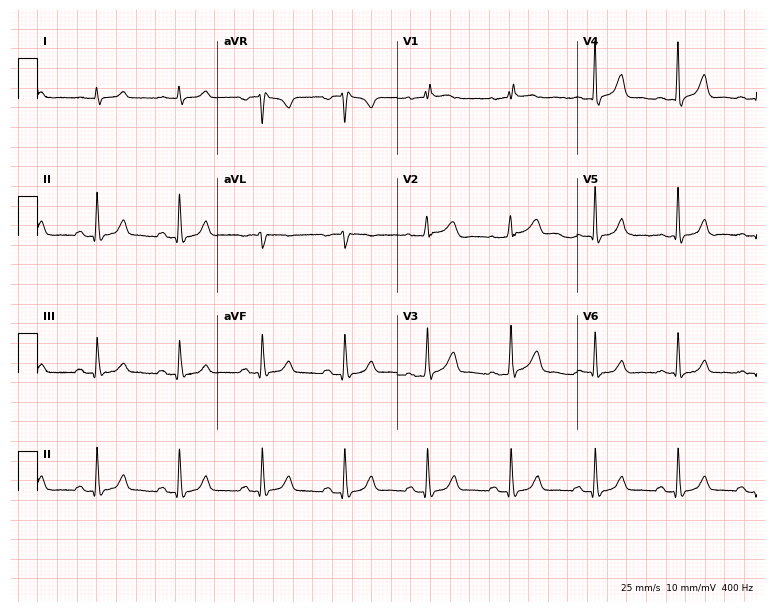
12-lead ECG from a man, 76 years old (7.3-second recording at 400 Hz). No first-degree AV block, right bundle branch block (RBBB), left bundle branch block (LBBB), sinus bradycardia, atrial fibrillation (AF) or sinus tachycardia recorded for this tracing.